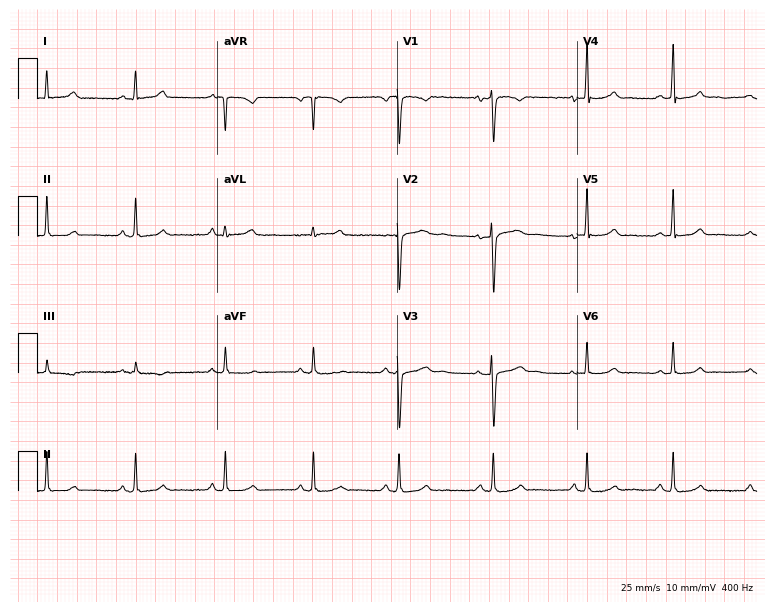
Electrocardiogram (7.3-second recording at 400 Hz), a 32-year-old woman. Overall reading on record: normal ECG.